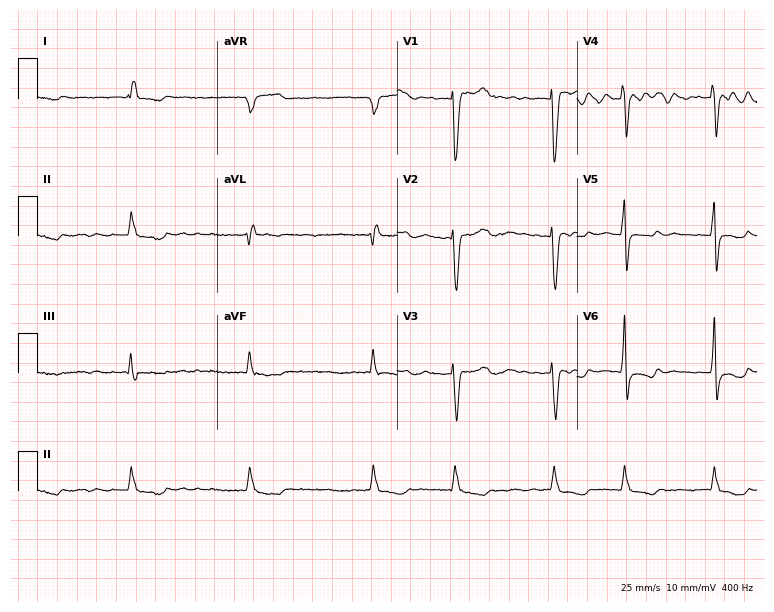
Electrocardiogram, a male, 73 years old. Interpretation includes left bundle branch block (LBBB), atrial fibrillation (AF).